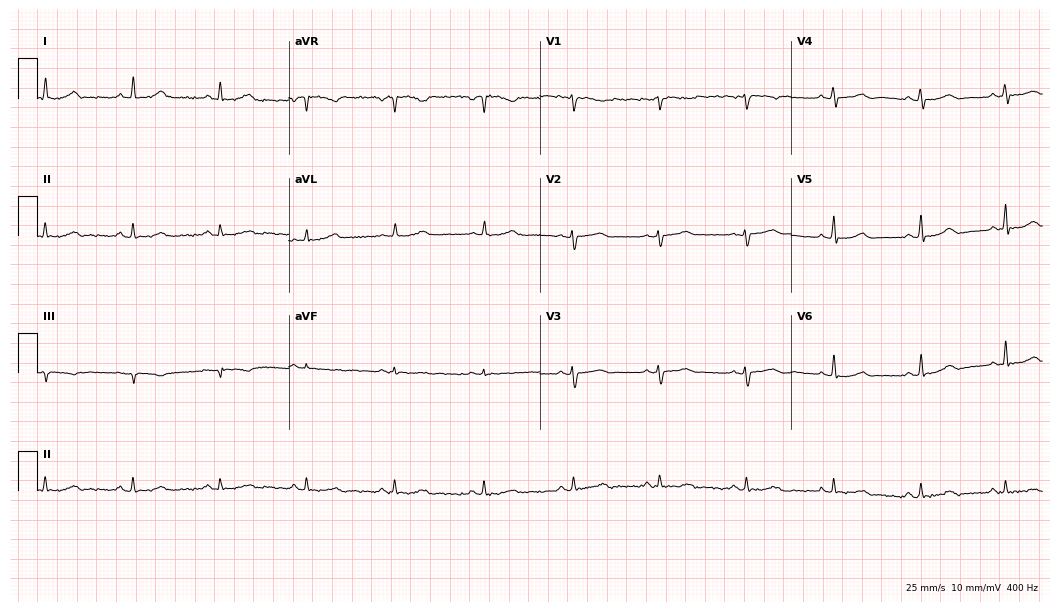
12-lead ECG from a female, 50 years old (10.2-second recording at 400 Hz). Recorded interpretation: within normal limits.